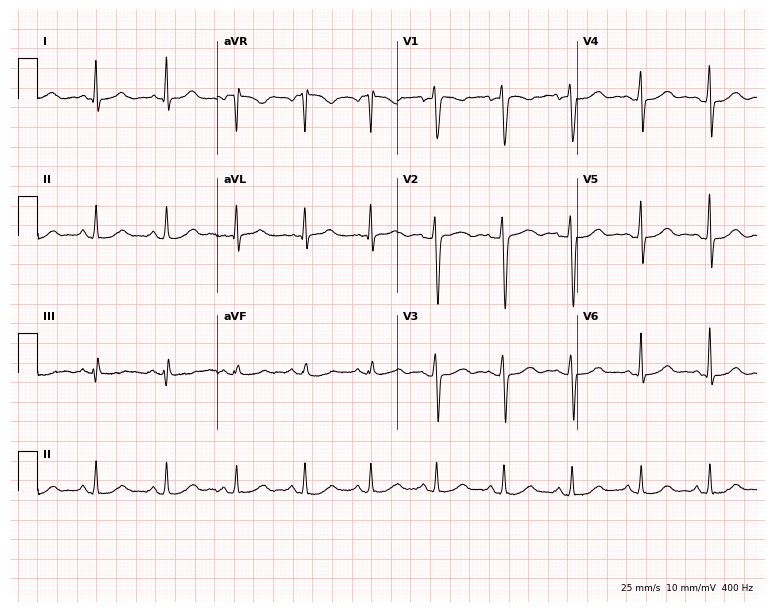
12-lead ECG from a 44-year-old woman. Recorded interpretation: within normal limits.